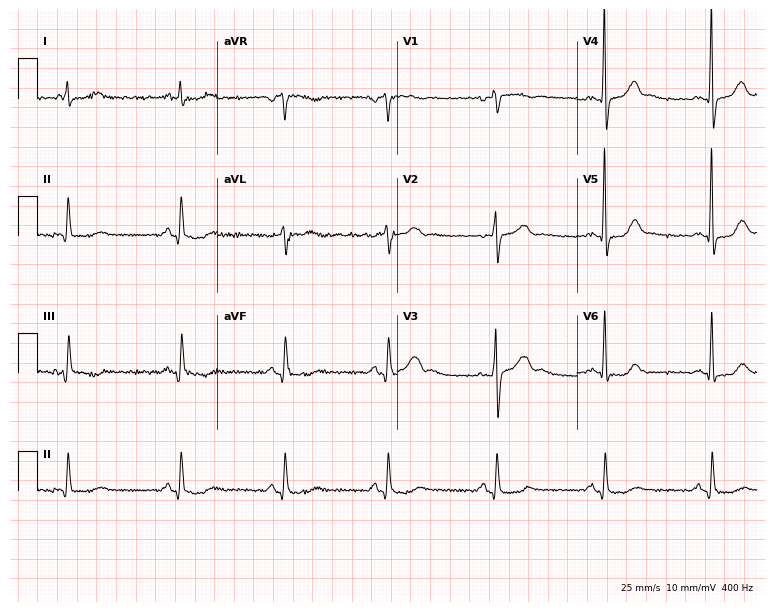
12-lead ECG from a male, 76 years old (7.3-second recording at 400 Hz). No first-degree AV block, right bundle branch block (RBBB), left bundle branch block (LBBB), sinus bradycardia, atrial fibrillation (AF) or sinus tachycardia recorded for this tracing.